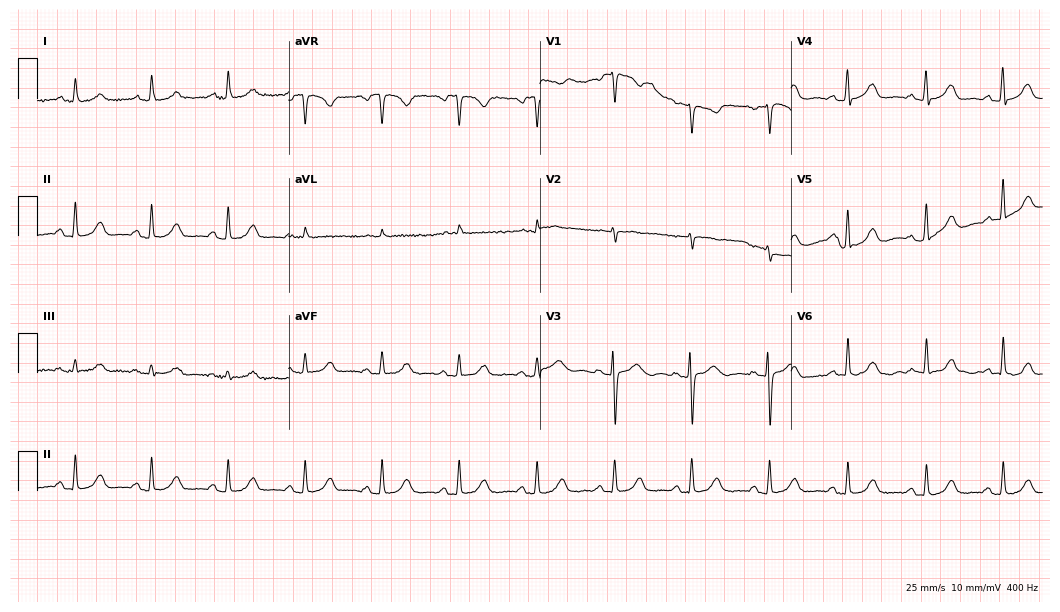
Electrocardiogram (10.2-second recording at 400 Hz), a 69-year-old woman. Overall reading on record: normal ECG.